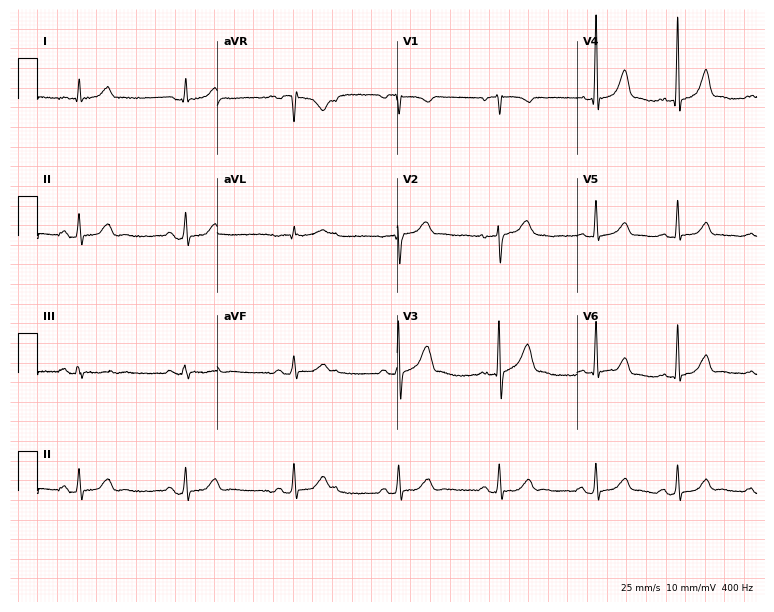
ECG — a 49-year-old man. Labelled as a normal ECG.